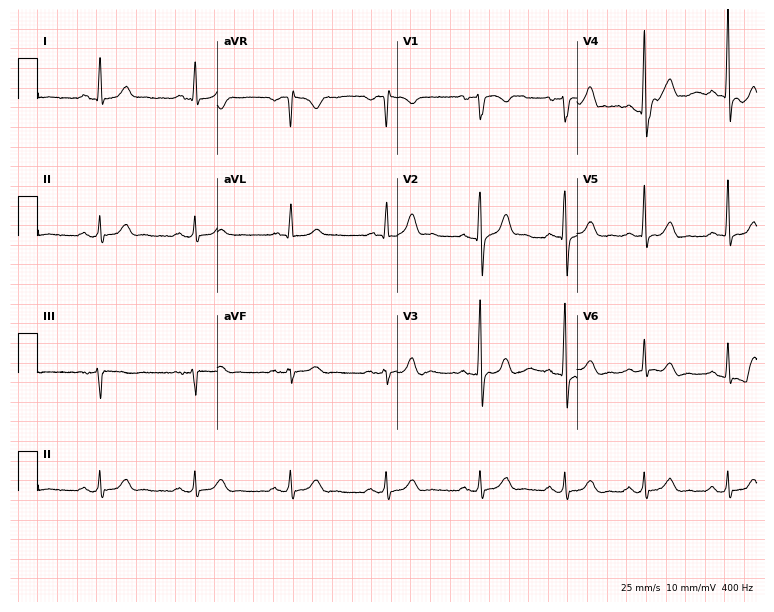
Standard 12-lead ECG recorded from a 57-year-old man (7.3-second recording at 400 Hz). Read as a normal ECG.